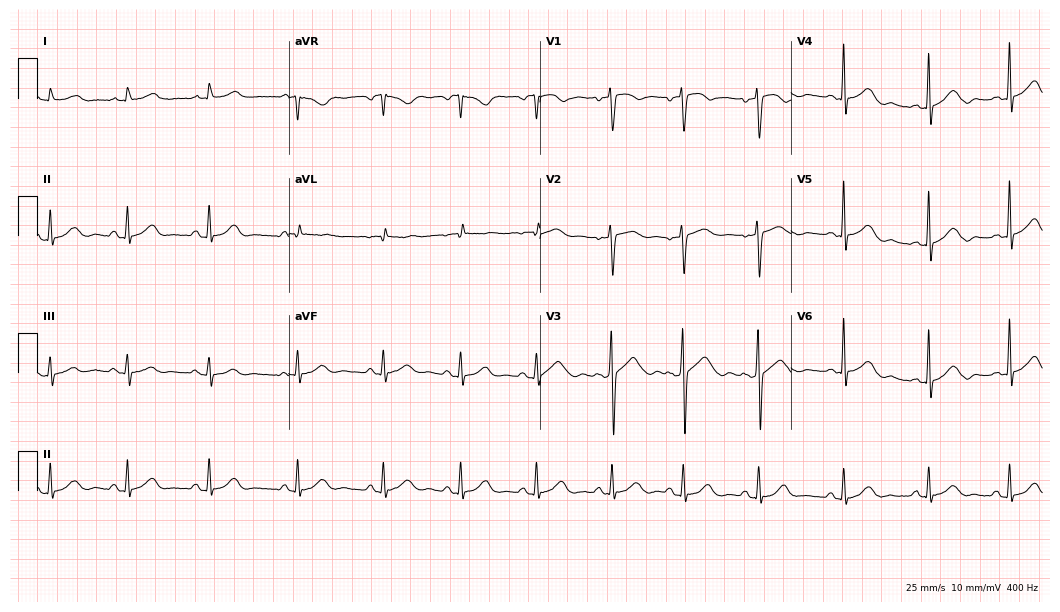
ECG — a female, 34 years old. Labelled as a normal ECG.